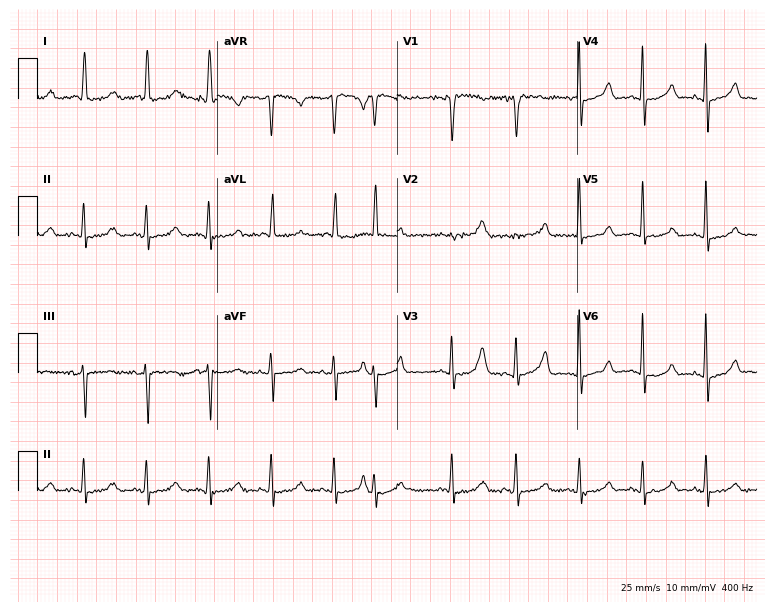
Resting 12-lead electrocardiogram (7.3-second recording at 400 Hz). Patient: an 84-year-old female. None of these six findings is recorded: first-degree AV block, right bundle branch block, left bundle branch block, sinus bradycardia, atrial fibrillation, sinus tachycardia. Other findings, if any, are not listed.